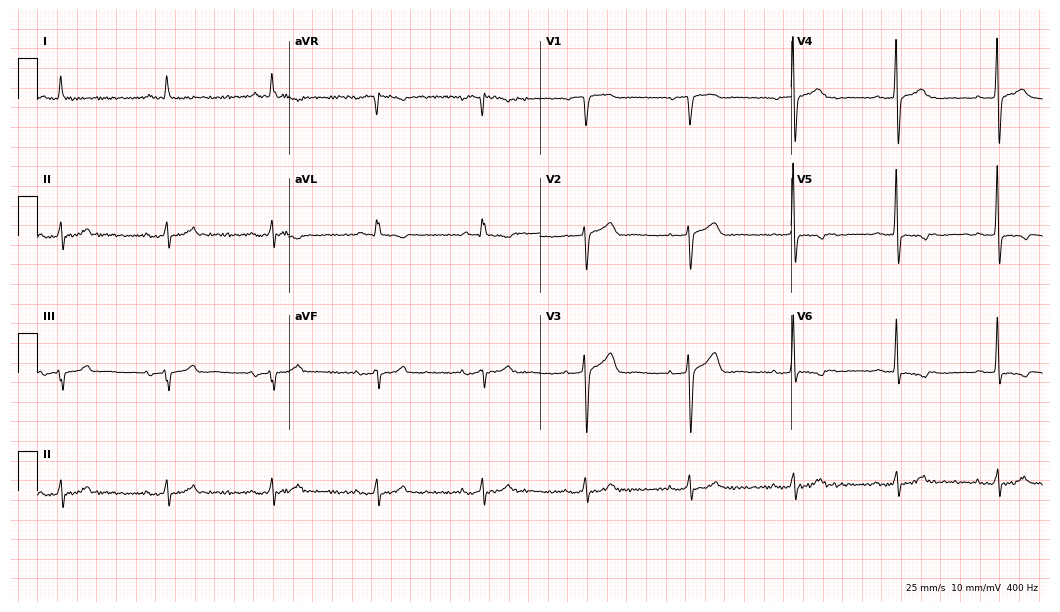
Electrocardiogram (10.2-second recording at 400 Hz), an 82-year-old male patient. Of the six screened findings (first-degree AV block, right bundle branch block, left bundle branch block, sinus bradycardia, atrial fibrillation, sinus tachycardia), none is recorded.